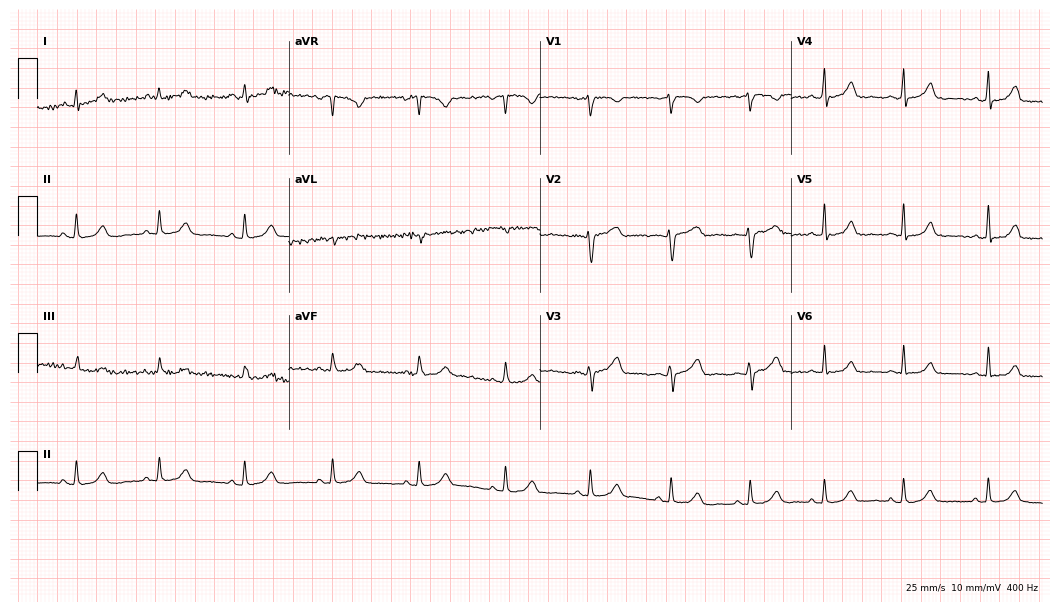
ECG (10.2-second recording at 400 Hz) — a female, 32 years old. Labelled as a normal ECG.